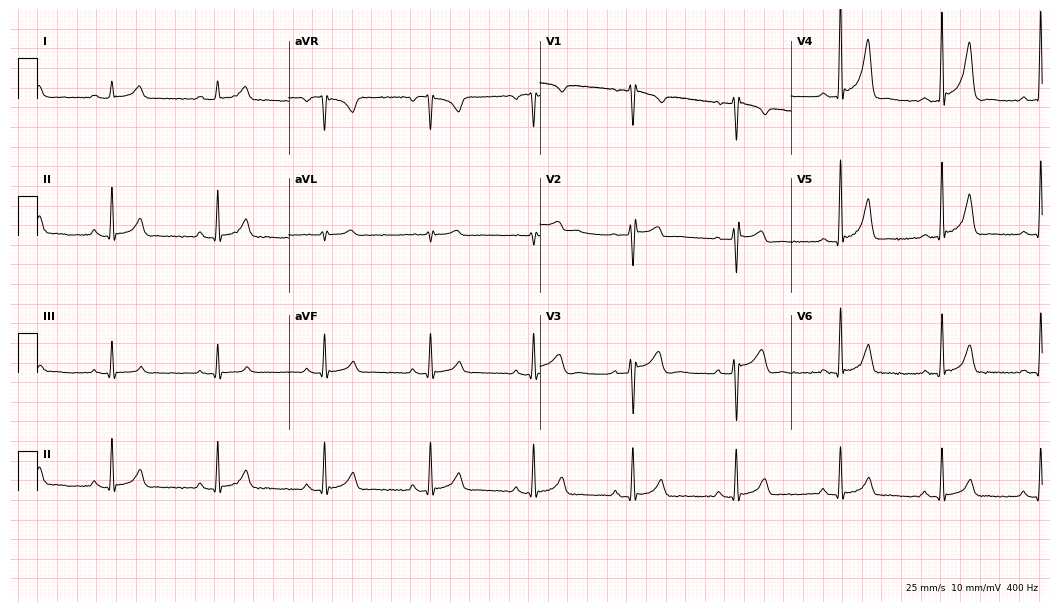
Electrocardiogram (10.2-second recording at 400 Hz), a 29-year-old man. Overall reading on record: normal ECG.